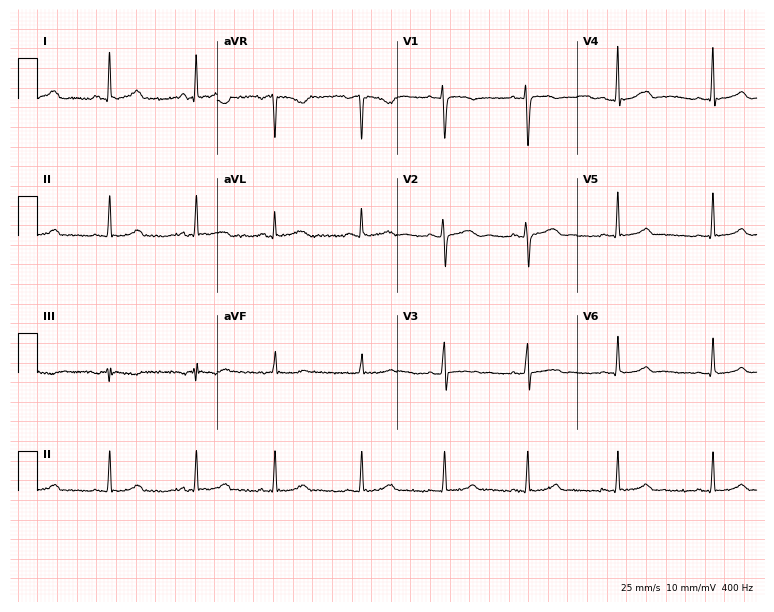
Standard 12-lead ECG recorded from a woman, 28 years old. Read as a normal ECG.